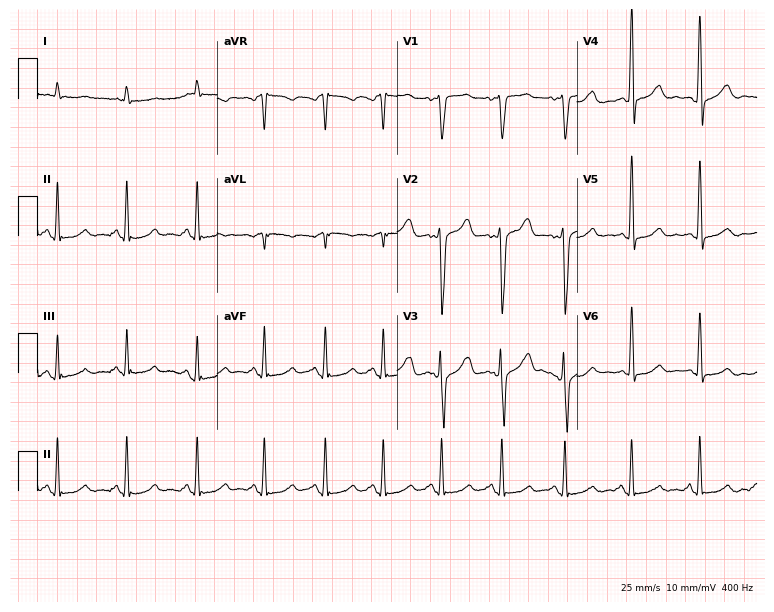
ECG (7.3-second recording at 400 Hz) — a 51-year-old male patient. Screened for six findings — first-degree AV block, right bundle branch block, left bundle branch block, sinus bradycardia, atrial fibrillation, sinus tachycardia — none is recorded.